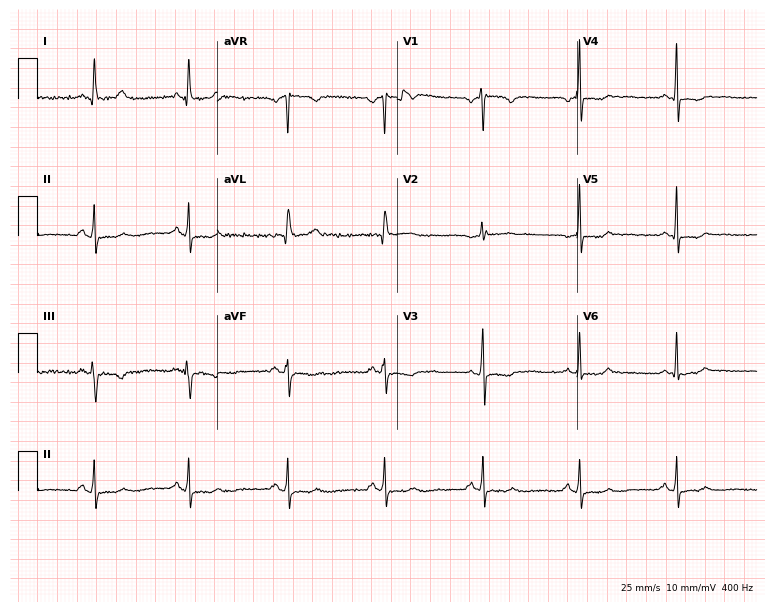
Standard 12-lead ECG recorded from a woman, 59 years old. None of these six findings is recorded: first-degree AV block, right bundle branch block, left bundle branch block, sinus bradycardia, atrial fibrillation, sinus tachycardia. Other findings, if any, are not listed.